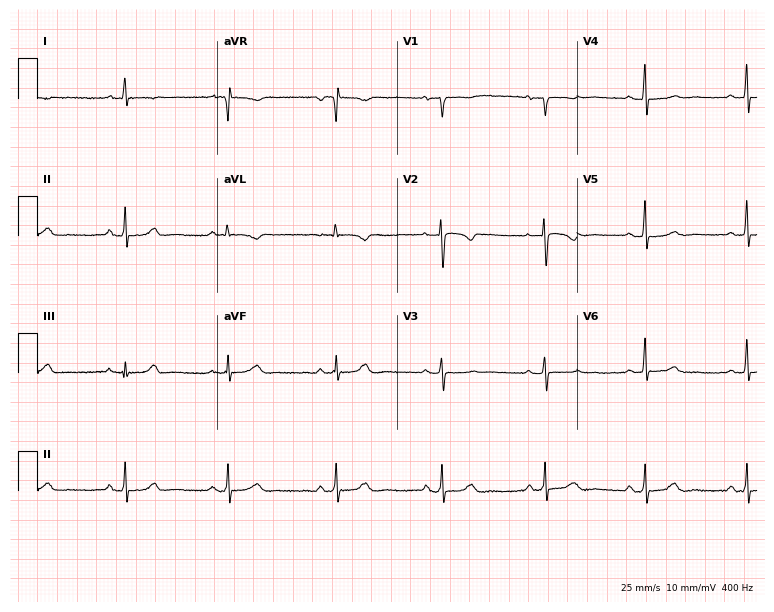
Standard 12-lead ECG recorded from a 49-year-old female (7.3-second recording at 400 Hz). None of these six findings is recorded: first-degree AV block, right bundle branch block, left bundle branch block, sinus bradycardia, atrial fibrillation, sinus tachycardia. Findings outside these six are not listed.